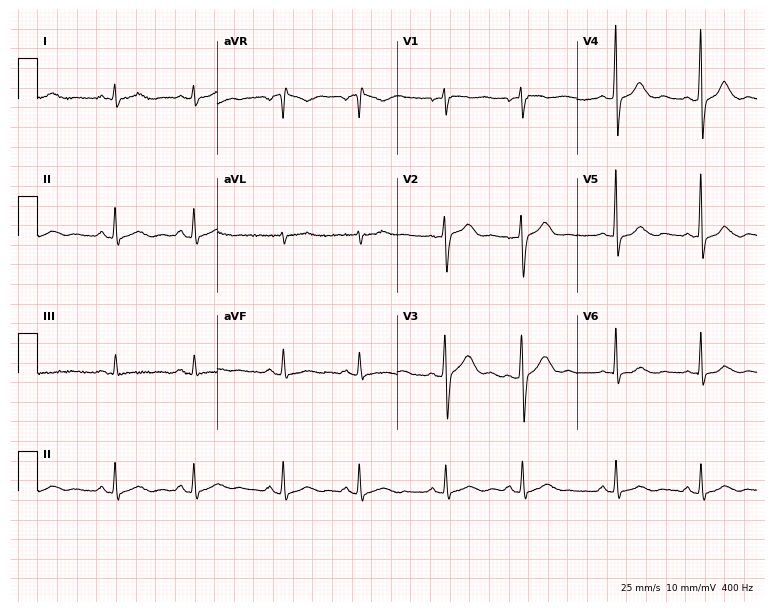
Electrocardiogram (7.3-second recording at 400 Hz), a man, 61 years old. Of the six screened findings (first-degree AV block, right bundle branch block (RBBB), left bundle branch block (LBBB), sinus bradycardia, atrial fibrillation (AF), sinus tachycardia), none is recorded.